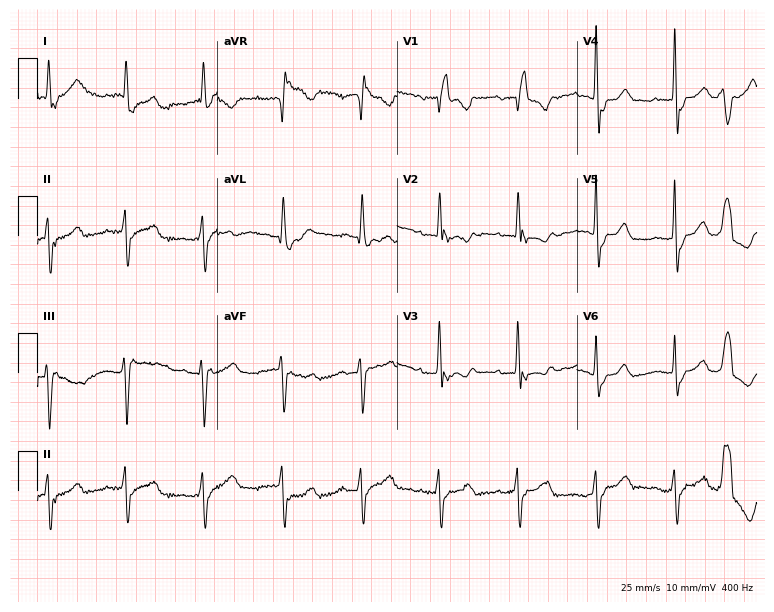
12-lead ECG (7.3-second recording at 400 Hz) from a 71-year-old woman. Findings include right bundle branch block.